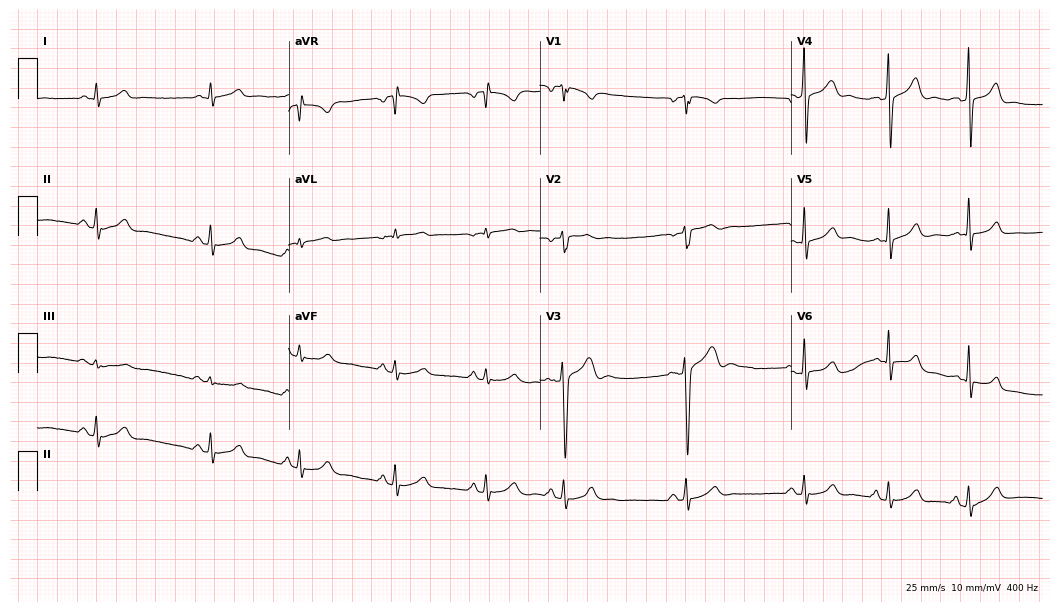
Resting 12-lead electrocardiogram (10.2-second recording at 400 Hz). Patient: a male, 17 years old. None of these six findings is recorded: first-degree AV block, right bundle branch block (RBBB), left bundle branch block (LBBB), sinus bradycardia, atrial fibrillation (AF), sinus tachycardia.